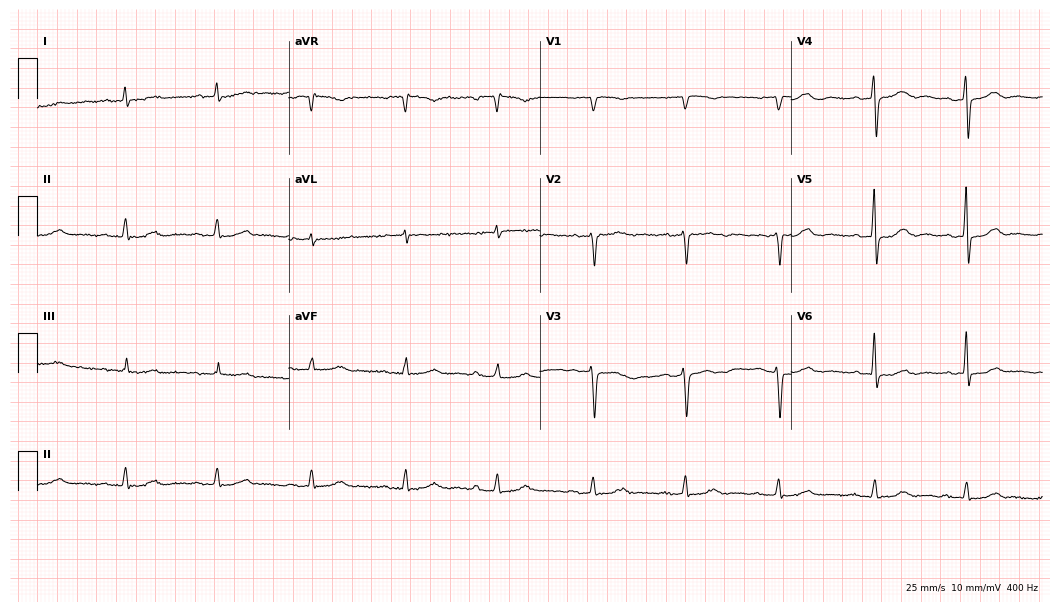
ECG — a 61-year-old woman. Screened for six findings — first-degree AV block, right bundle branch block, left bundle branch block, sinus bradycardia, atrial fibrillation, sinus tachycardia — none is recorded. Findings outside these six are not listed.